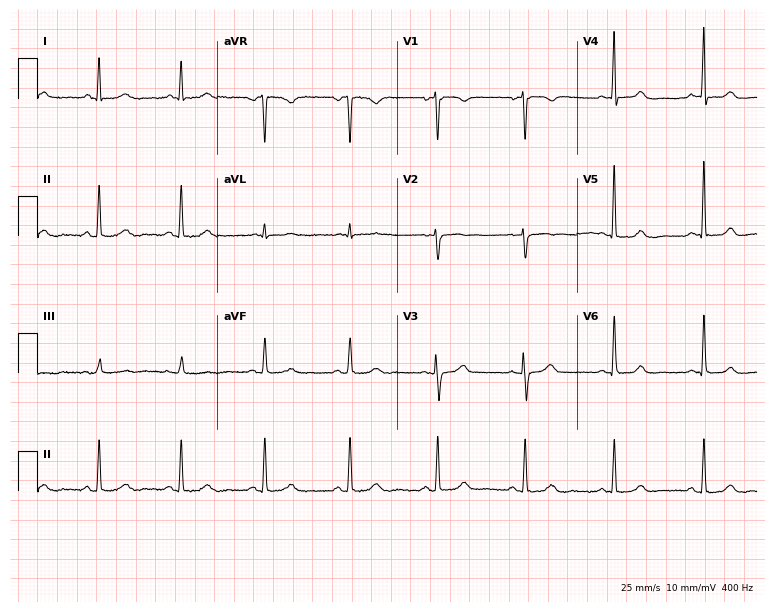
Resting 12-lead electrocardiogram. Patient: a 63-year-old male. Read as a normal ECG.